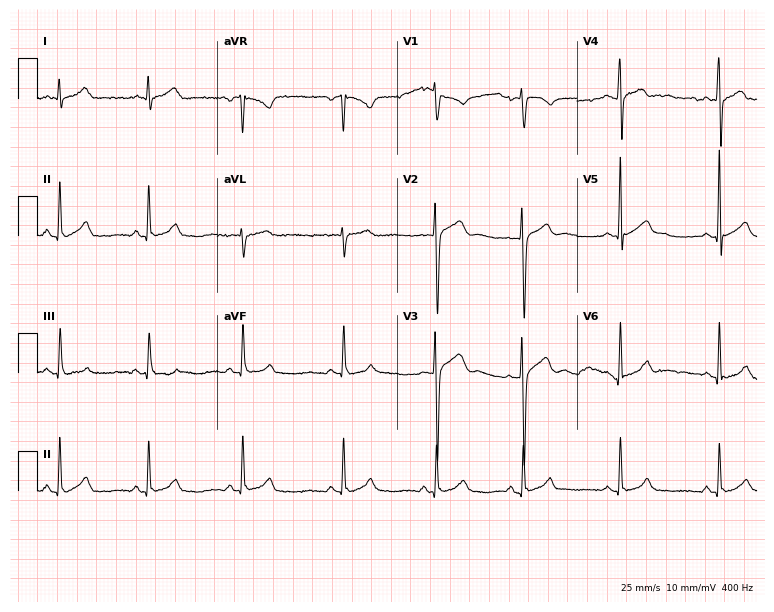
Resting 12-lead electrocardiogram. Patient: a male, 20 years old. Read as a normal ECG.